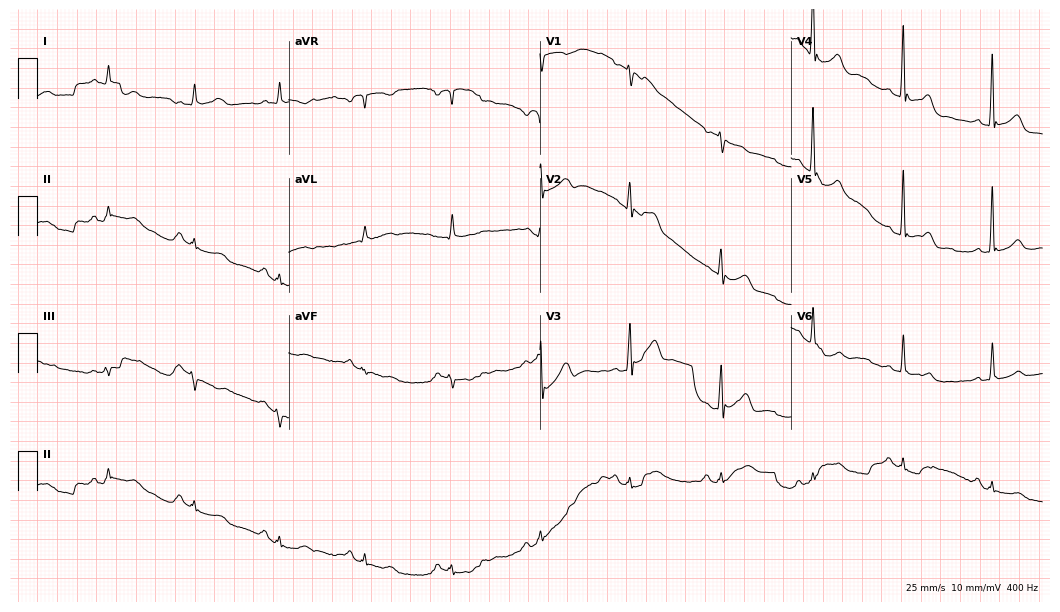
Electrocardiogram (10.2-second recording at 400 Hz), a 67-year-old male patient. Of the six screened findings (first-degree AV block, right bundle branch block, left bundle branch block, sinus bradycardia, atrial fibrillation, sinus tachycardia), none is recorded. Other findings, if any, are not listed.